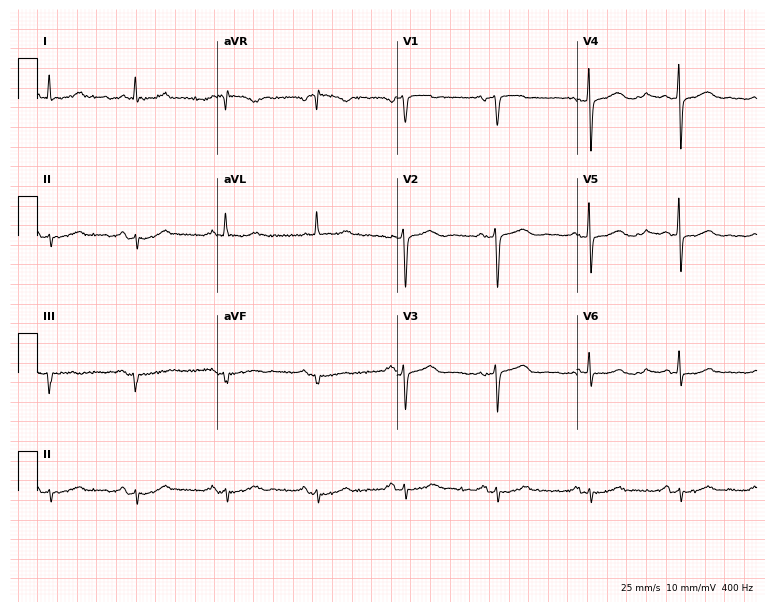
Resting 12-lead electrocardiogram (7.3-second recording at 400 Hz). Patient: a woman, 62 years old. None of these six findings is recorded: first-degree AV block, right bundle branch block, left bundle branch block, sinus bradycardia, atrial fibrillation, sinus tachycardia.